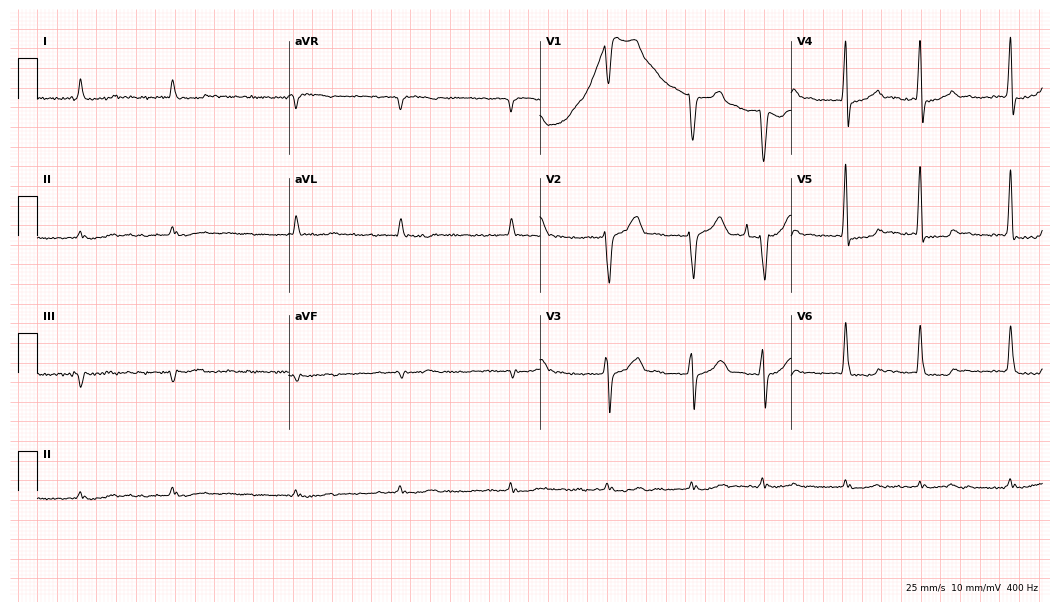
ECG (10.2-second recording at 400 Hz) — a man, 84 years old. Findings include atrial fibrillation.